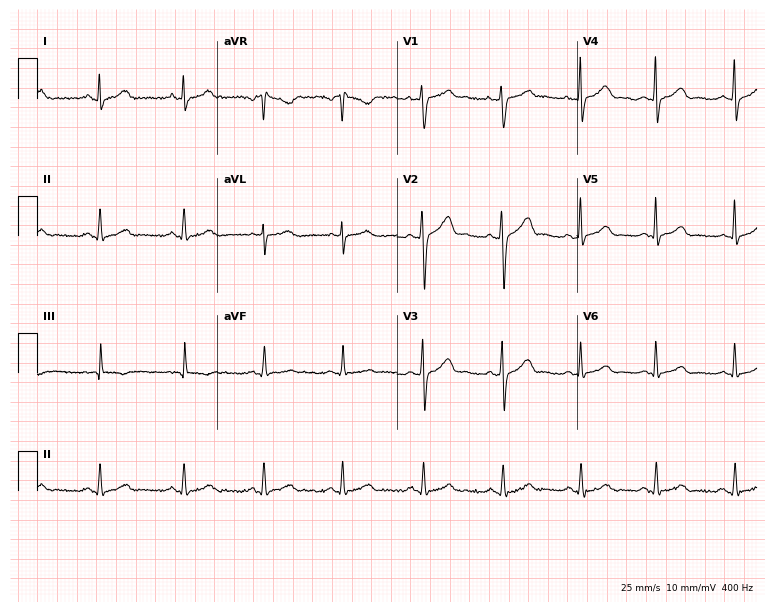
Resting 12-lead electrocardiogram. Patient: a 30-year-old male. Read as a normal ECG.